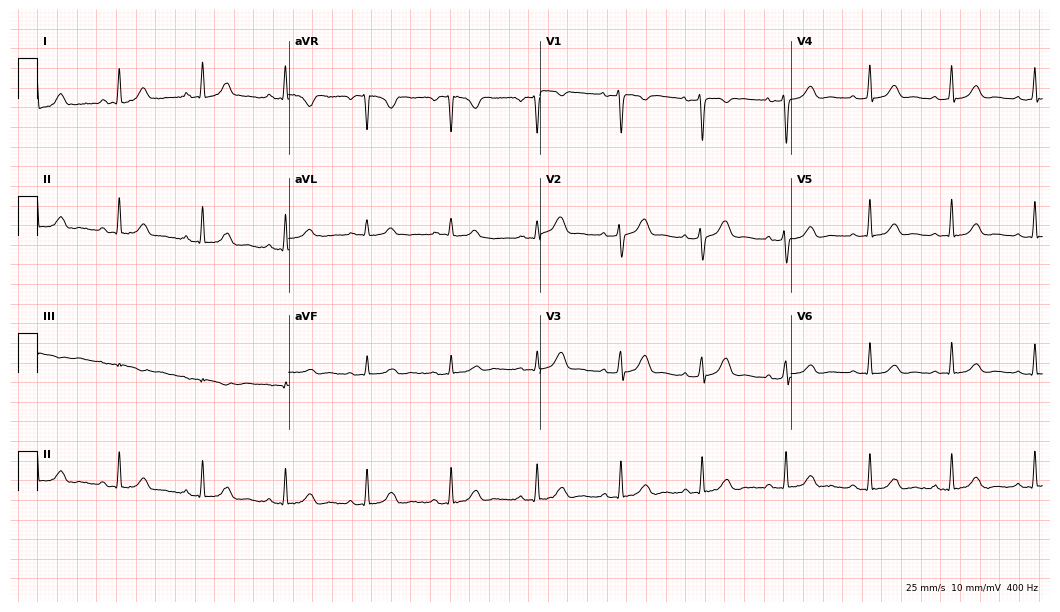
Resting 12-lead electrocardiogram. Patient: a female, 34 years old. Read as a normal ECG.